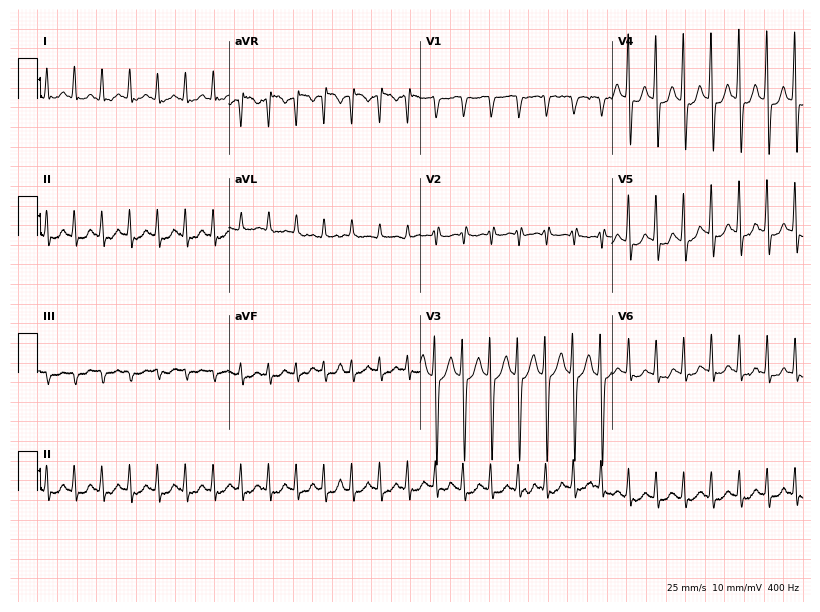
Standard 12-lead ECG recorded from a man, 30 years old. The tracing shows sinus tachycardia (a sinus rate of 100 beats per minute or more).